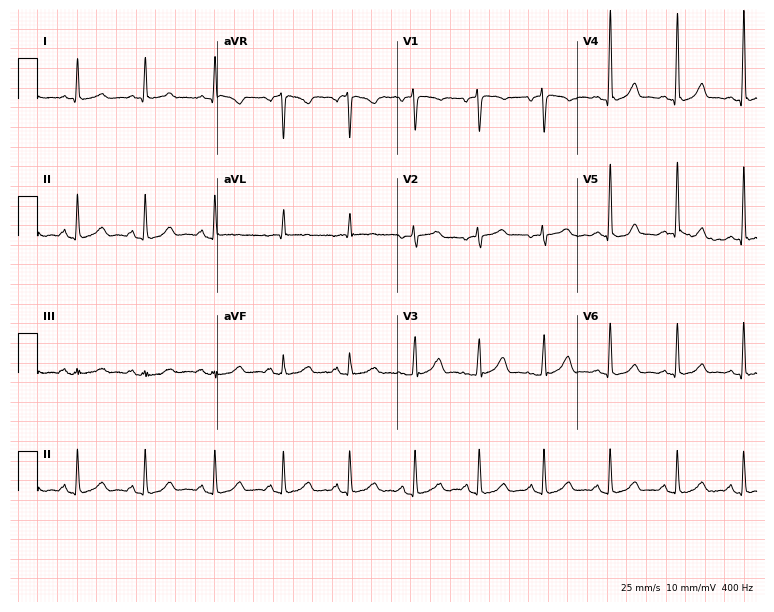
Standard 12-lead ECG recorded from a woman, 47 years old (7.3-second recording at 400 Hz). Read as a normal ECG.